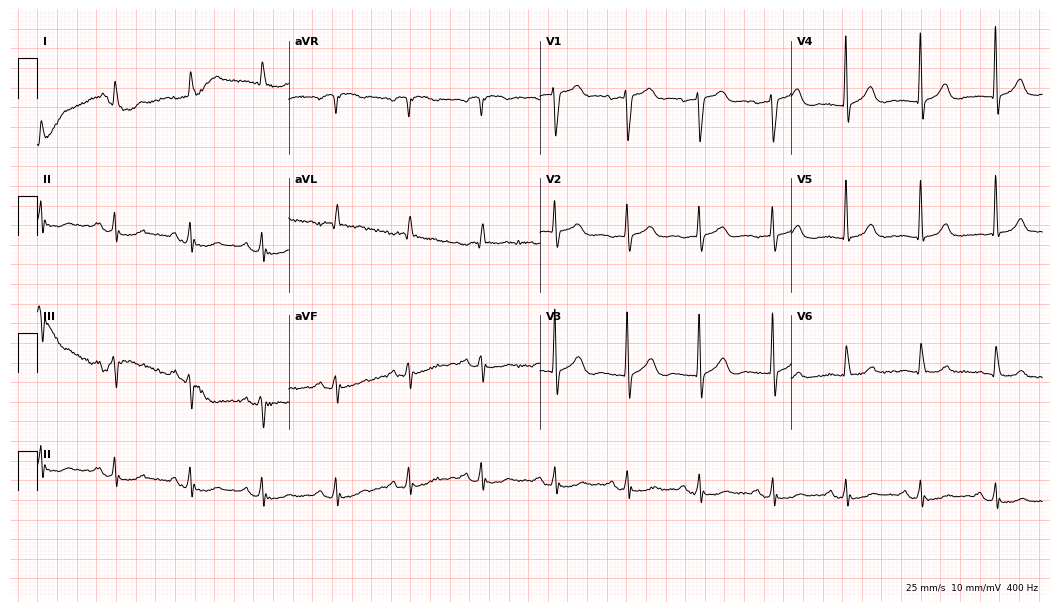
ECG — a 68-year-old male patient. Labelled as a normal ECG.